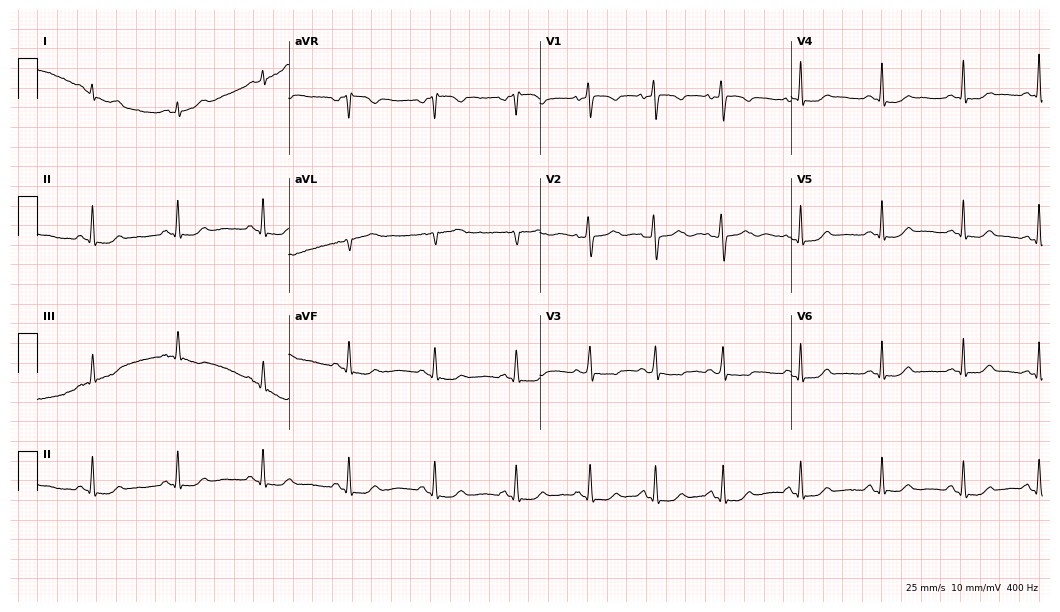
12-lead ECG (10.2-second recording at 400 Hz) from a woman, 23 years old. Labelled as a normal ECG.